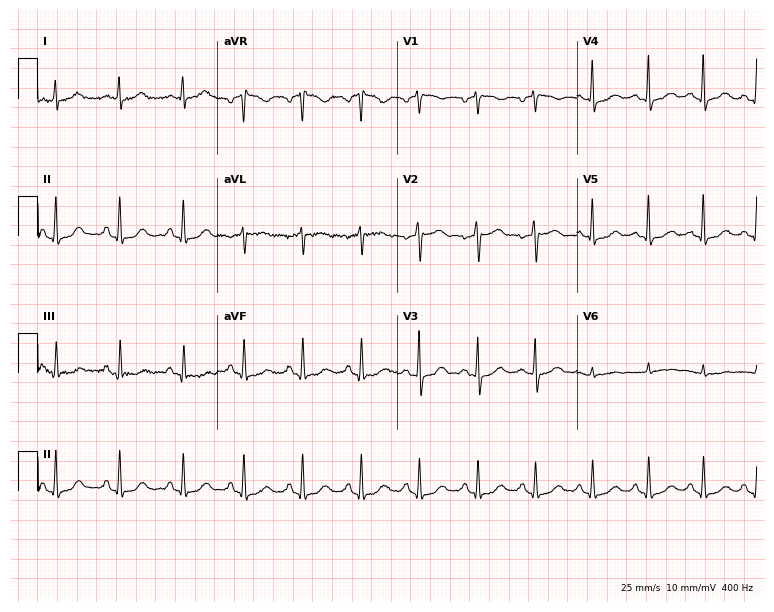
Resting 12-lead electrocardiogram (7.3-second recording at 400 Hz). Patient: a female, 63 years old. Read as a normal ECG.